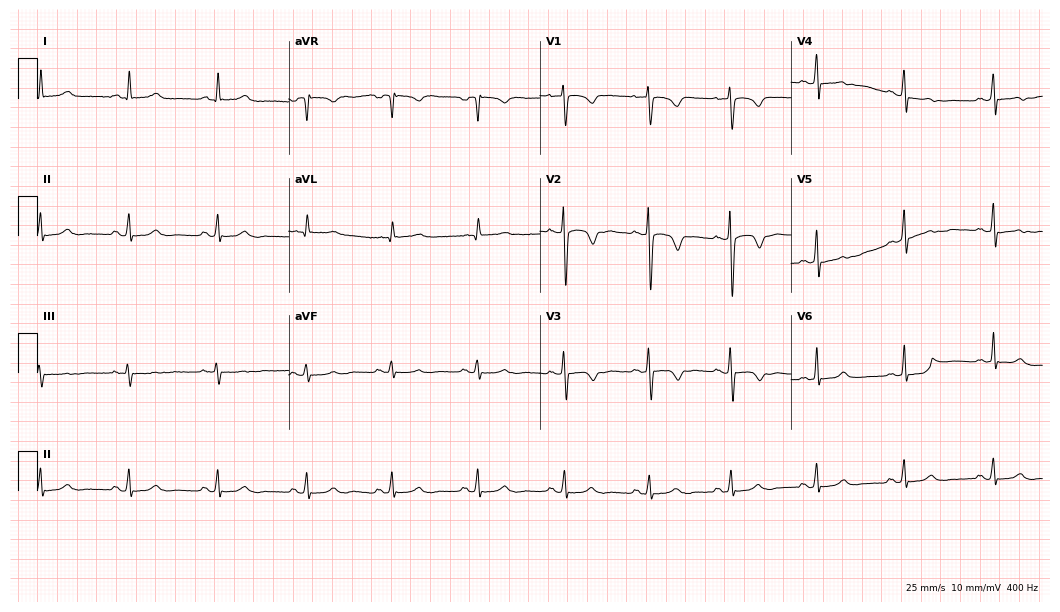
ECG — a female, 43 years old. Labelled as a normal ECG.